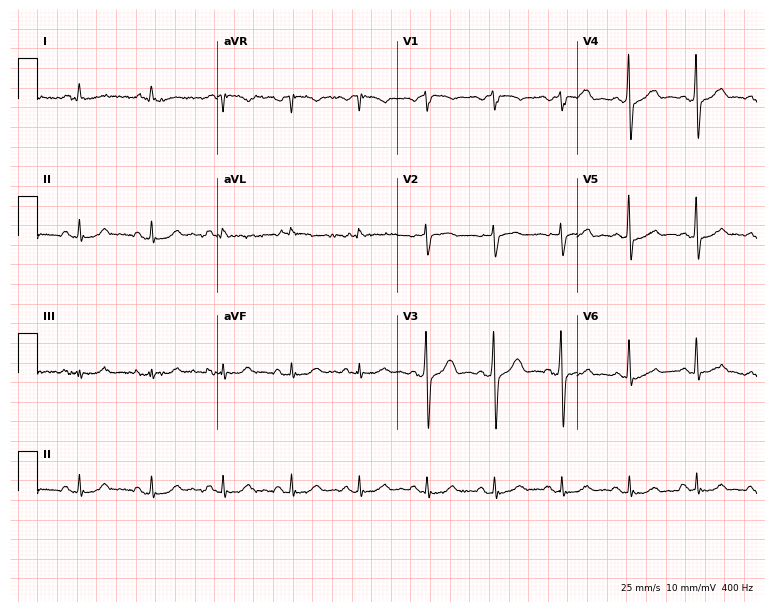
Standard 12-lead ECG recorded from a man, 77 years old. Read as a normal ECG.